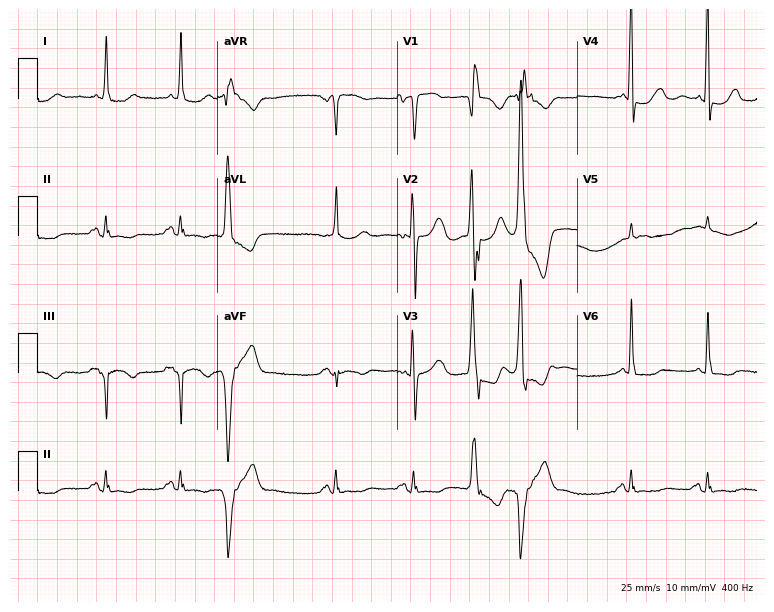
12-lead ECG (7.3-second recording at 400 Hz) from a female, 85 years old. Screened for six findings — first-degree AV block, right bundle branch block (RBBB), left bundle branch block (LBBB), sinus bradycardia, atrial fibrillation (AF), sinus tachycardia — none is recorded. Only these six findings were labelled.